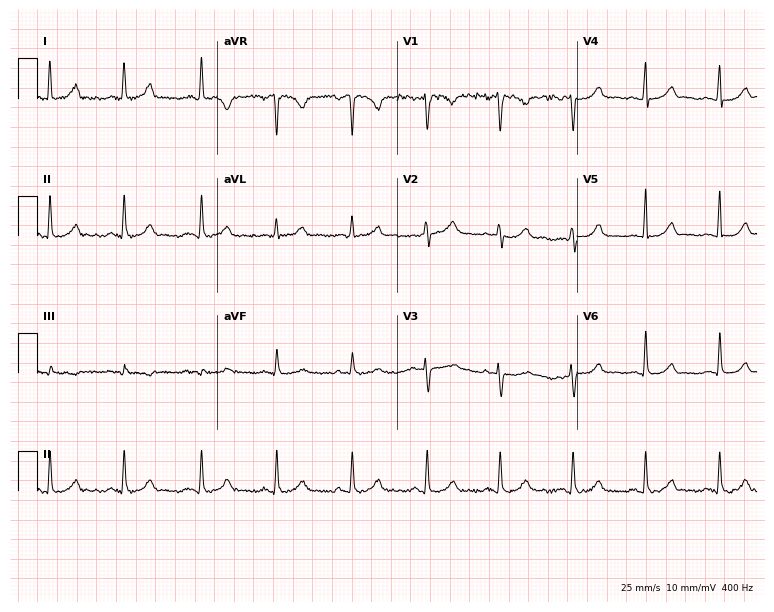
Resting 12-lead electrocardiogram. Patient: a female, 42 years old. Read as a normal ECG.